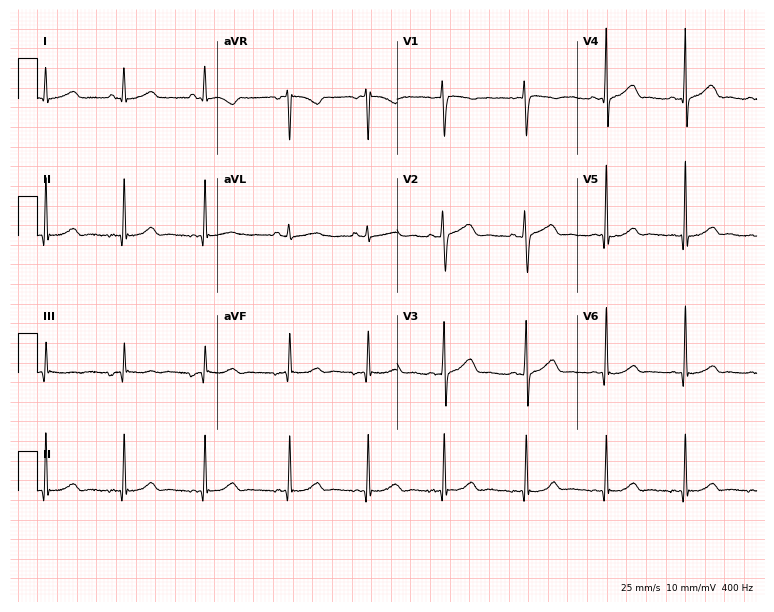
Resting 12-lead electrocardiogram (7.3-second recording at 400 Hz). Patient: a 30-year-old female. Read as a normal ECG.